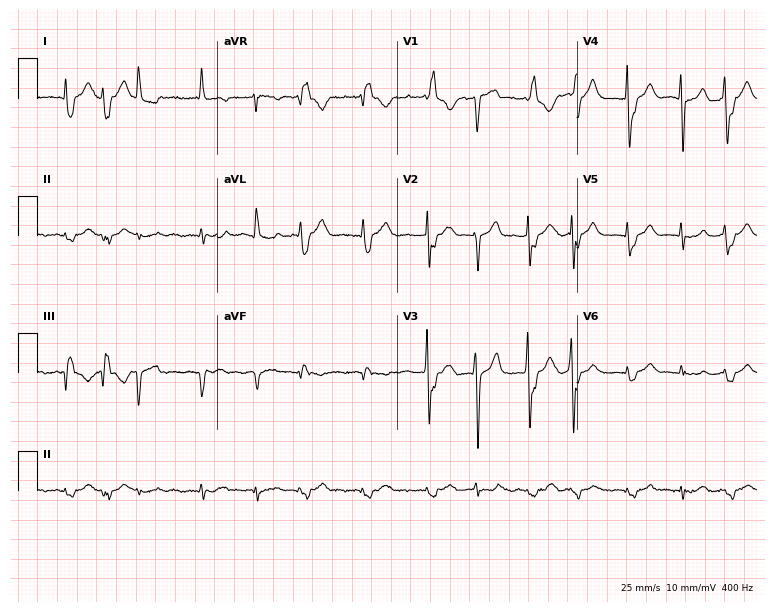
Resting 12-lead electrocardiogram. Patient: a man, 66 years old. The tracing shows atrial fibrillation.